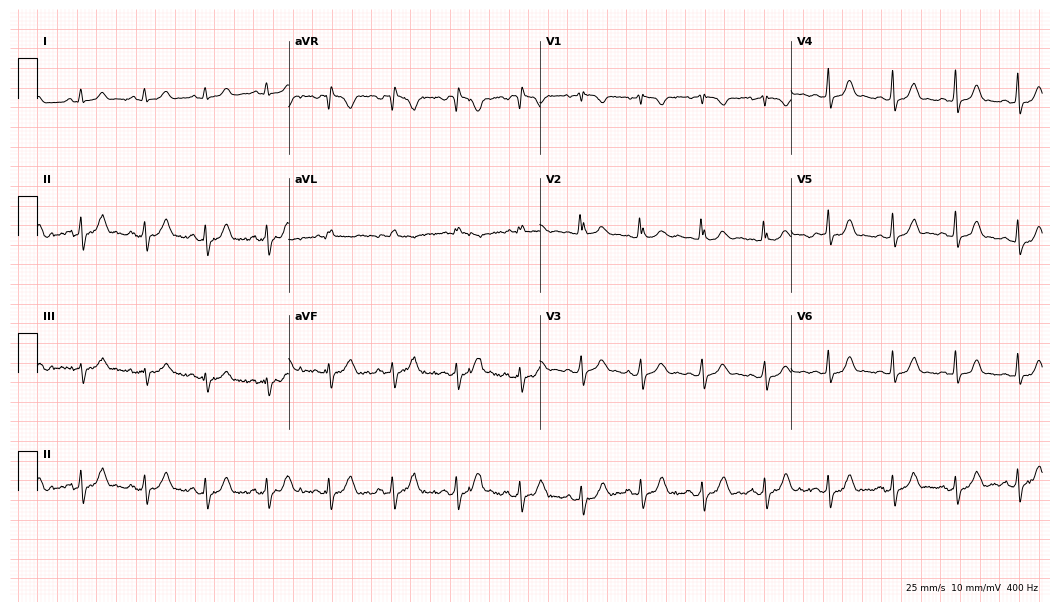
Electrocardiogram (10.2-second recording at 400 Hz), a female, 19 years old. Of the six screened findings (first-degree AV block, right bundle branch block, left bundle branch block, sinus bradycardia, atrial fibrillation, sinus tachycardia), none is recorded. Only these six findings were labelled.